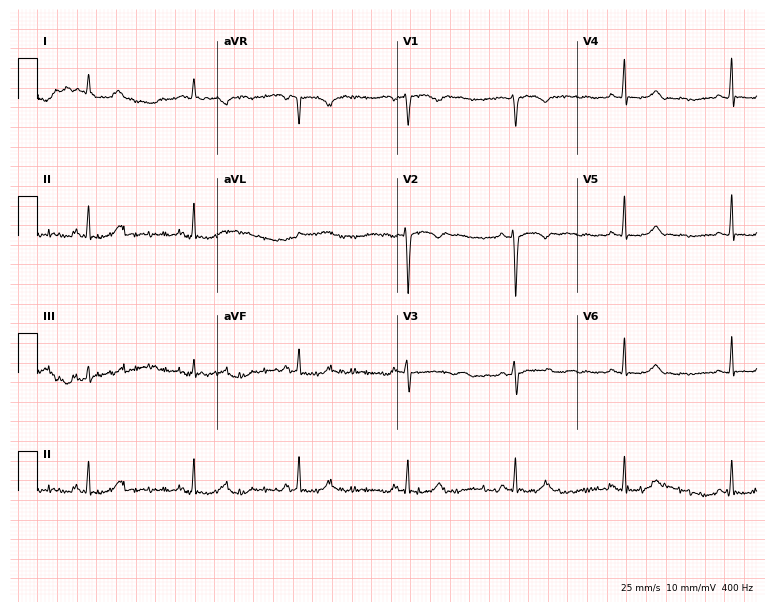
12-lead ECG from a woman, 45 years old. No first-degree AV block, right bundle branch block, left bundle branch block, sinus bradycardia, atrial fibrillation or sinus tachycardia recorded for this tracing. Findings outside these six are not listed.